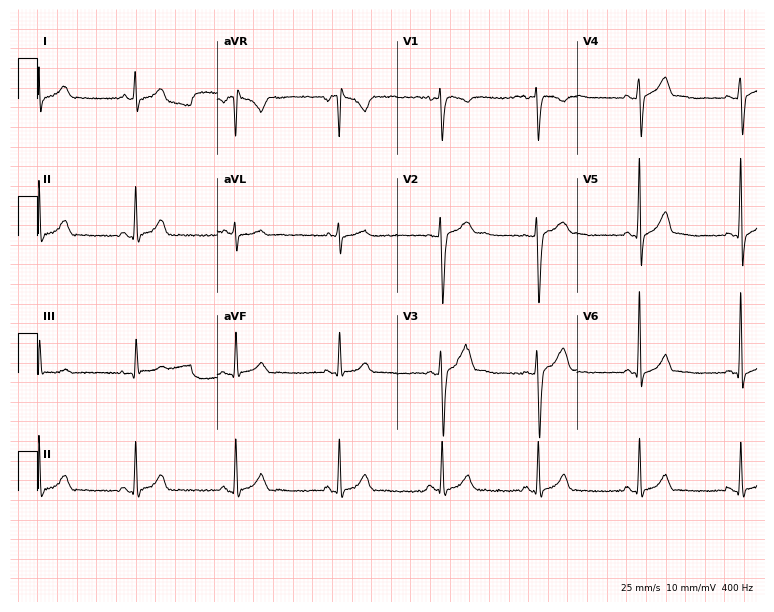
Resting 12-lead electrocardiogram (7.3-second recording at 400 Hz). Patient: a 31-year-old man. Read as a normal ECG.